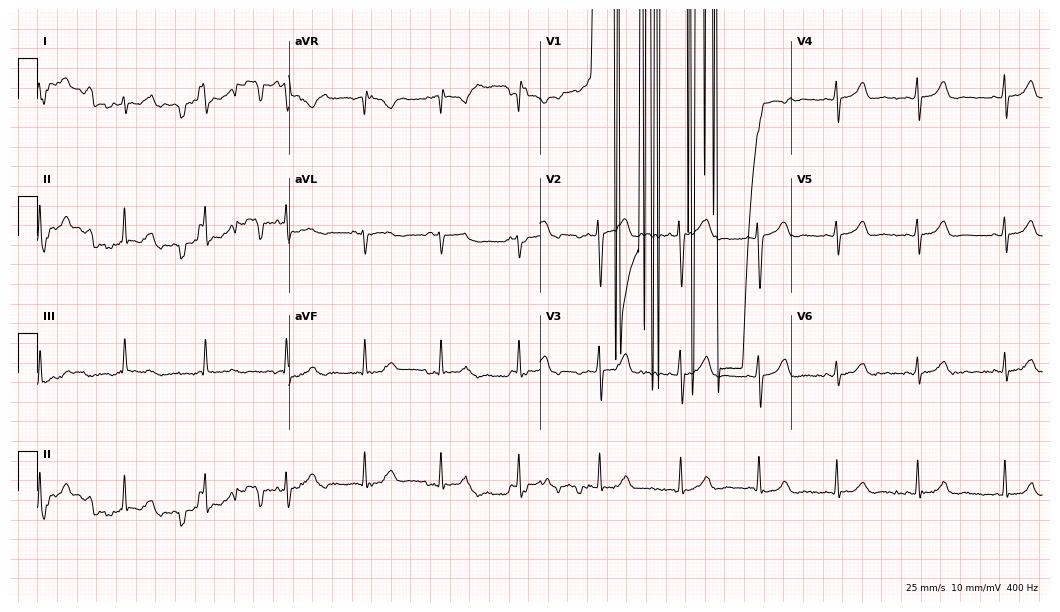
12-lead ECG from a female patient, 21 years old. Screened for six findings — first-degree AV block, right bundle branch block, left bundle branch block, sinus bradycardia, atrial fibrillation, sinus tachycardia — none is recorded. Findings outside these six are not listed.